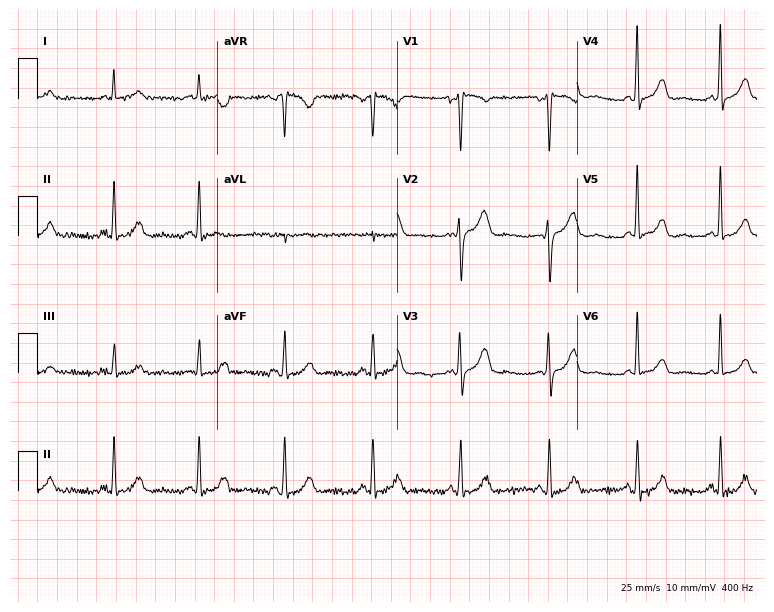
Standard 12-lead ECG recorded from a 44-year-old female patient. Read as a normal ECG.